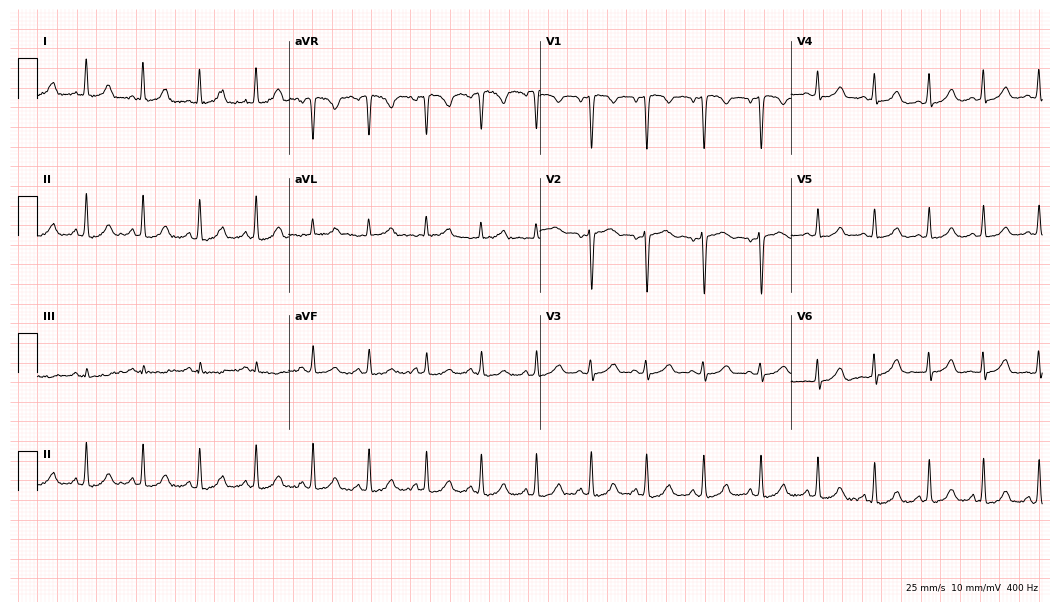
12-lead ECG from a female patient, 22 years old. Labelled as a normal ECG.